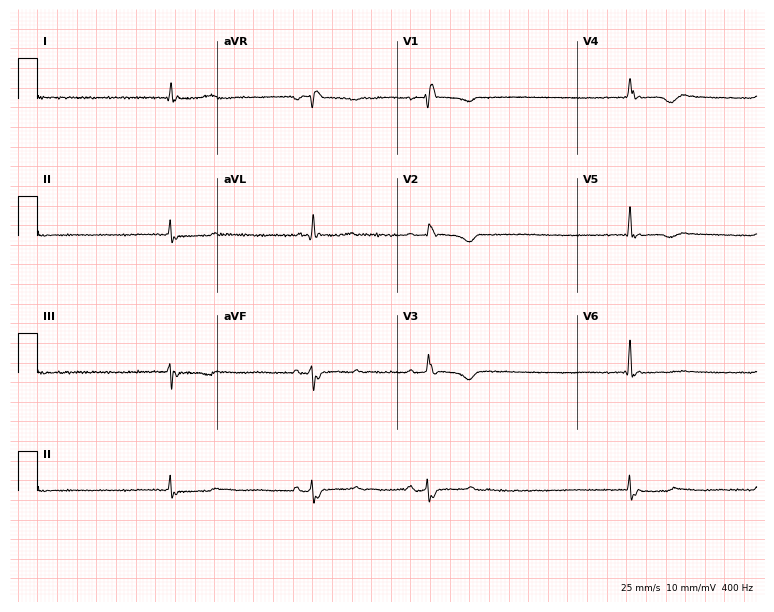
12-lead ECG from a 48-year-old female patient. Shows right bundle branch block.